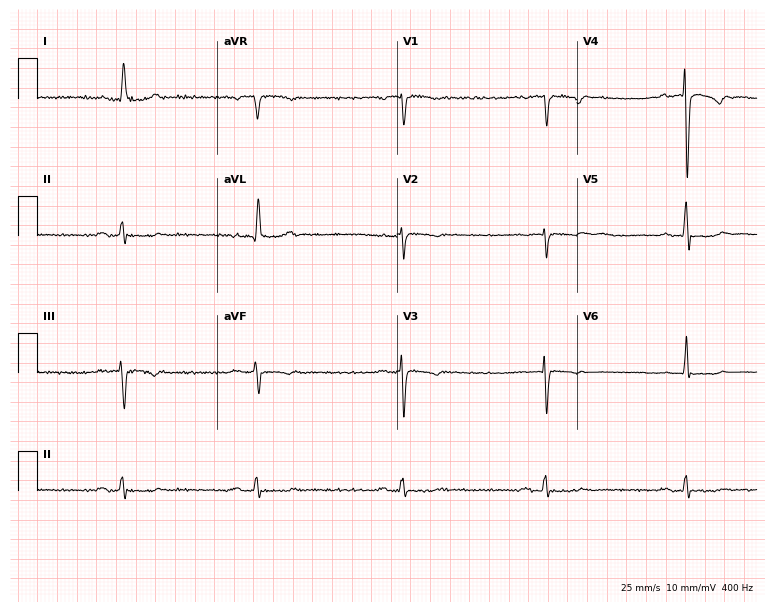
Electrocardiogram (7.3-second recording at 400 Hz), a 62-year-old female. Interpretation includes first-degree AV block, sinus bradycardia (a sinus rate of 50 beats per minute or less).